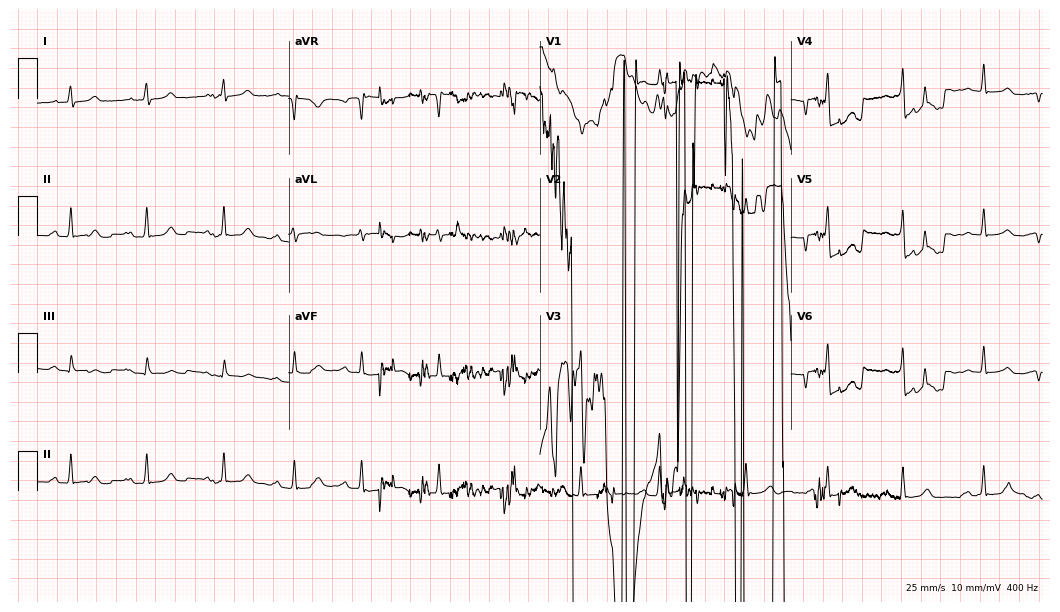
ECG (10.2-second recording at 400 Hz) — a 19-year-old female. Screened for six findings — first-degree AV block, right bundle branch block (RBBB), left bundle branch block (LBBB), sinus bradycardia, atrial fibrillation (AF), sinus tachycardia — none is recorded.